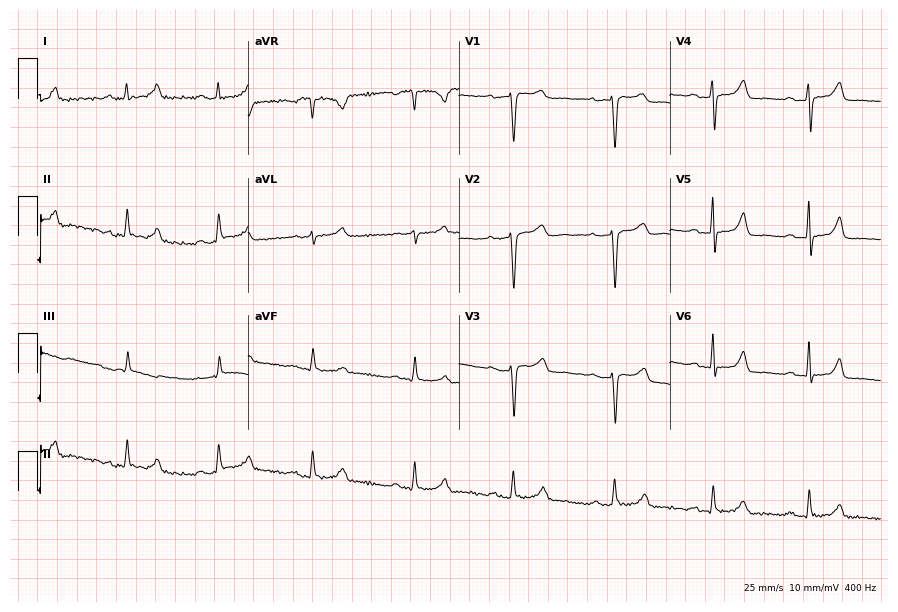
Electrocardiogram (8.6-second recording at 400 Hz), a 46-year-old woman. Of the six screened findings (first-degree AV block, right bundle branch block (RBBB), left bundle branch block (LBBB), sinus bradycardia, atrial fibrillation (AF), sinus tachycardia), none is recorded.